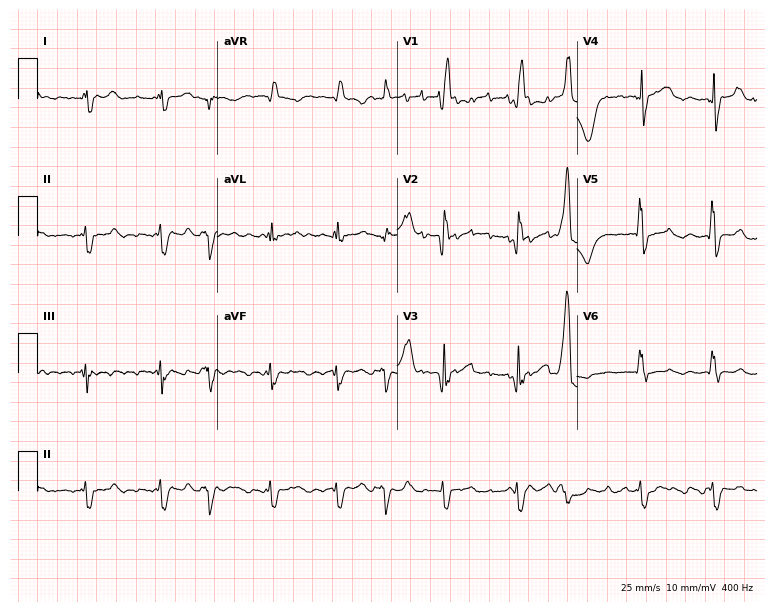
Electrocardiogram, a 67-year-old female patient. Interpretation includes right bundle branch block, atrial fibrillation.